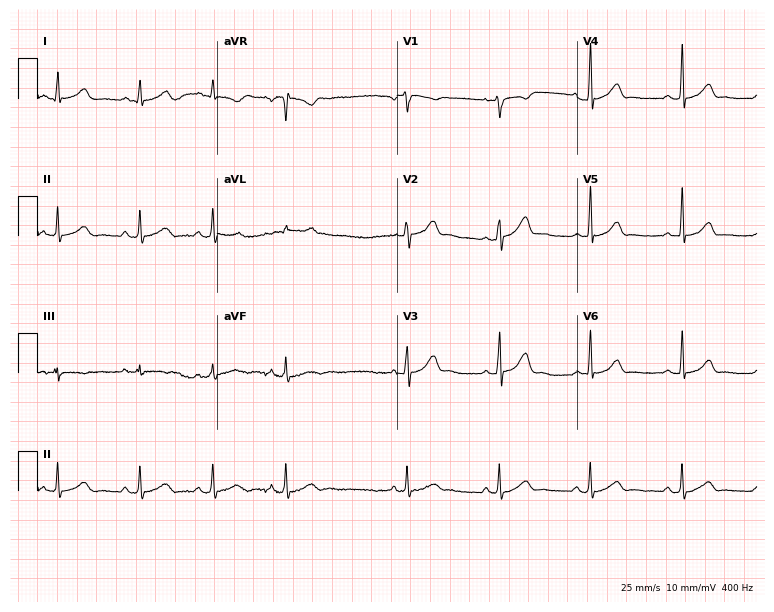
Electrocardiogram (7.3-second recording at 400 Hz), a 22-year-old female. Of the six screened findings (first-degree AV block, right bundle branch block, left bundle branch block, sinus bradycardia, atrial fibrillation, sinus tachycardia), none is recorded.